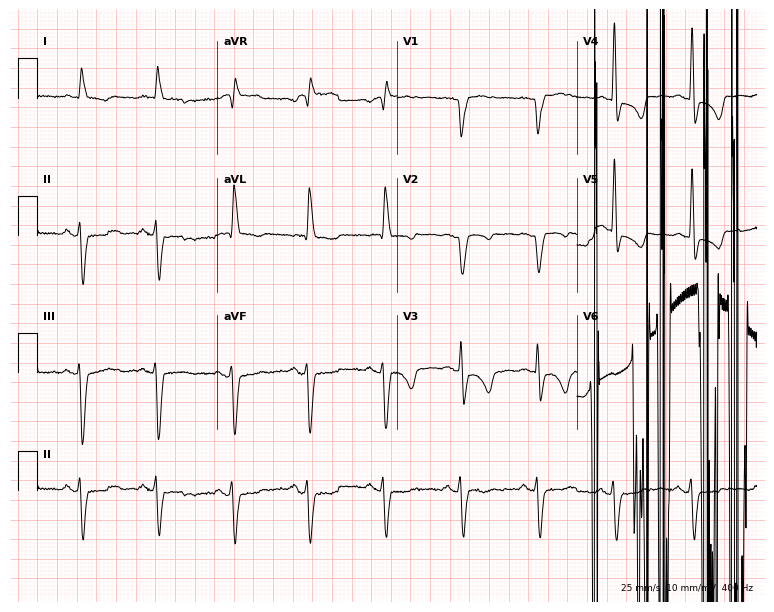
ECG — a female, 82 years old. Screened for six findings — first-degree AV block, right bundle branch block, left bundle branch block, sinus bradycardia, atrial fibrillation, sinus tachycardia — none is recorded. Findings outside these six are not listed.